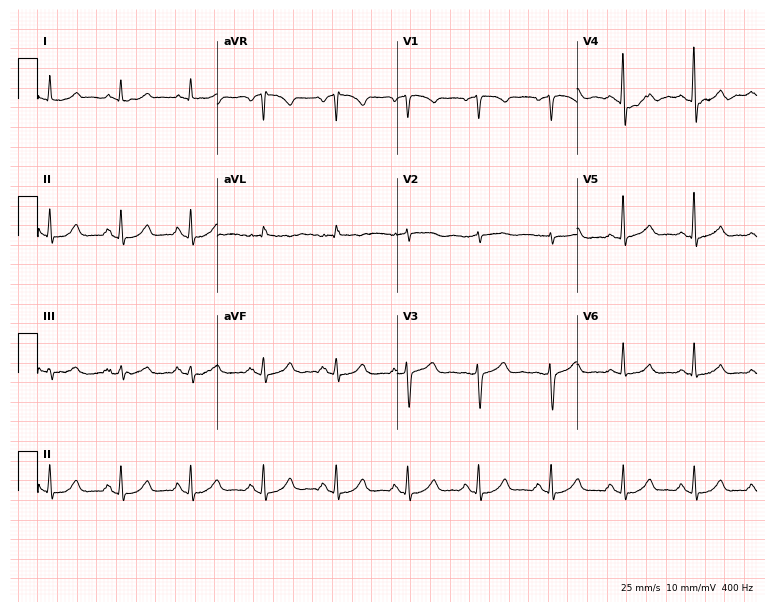
12-lead ECG from a female, 46 years old. Recorded interpretation: within normal limits.